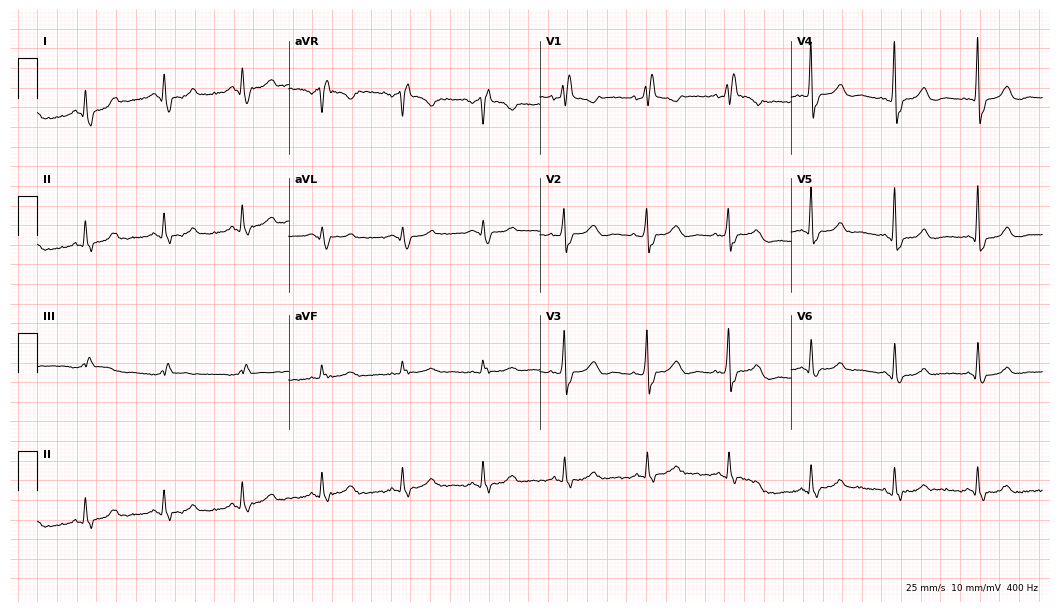
ECG — a 78-year-old female patient. Screened for six findings — first-degree AV block, right bundle branch block, left bundle branch block, sinus bradycardia, atrial fibrillation, sinus tachycardia — none is recorded. Other findings, if any, are not listed.